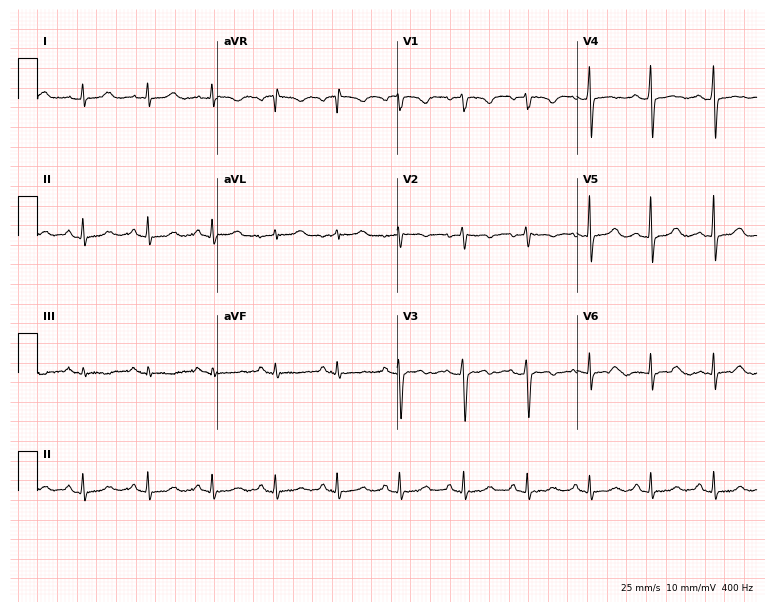
12-lead ECG from a 32-year-old woman. Recorded interpretation: within normal limits.